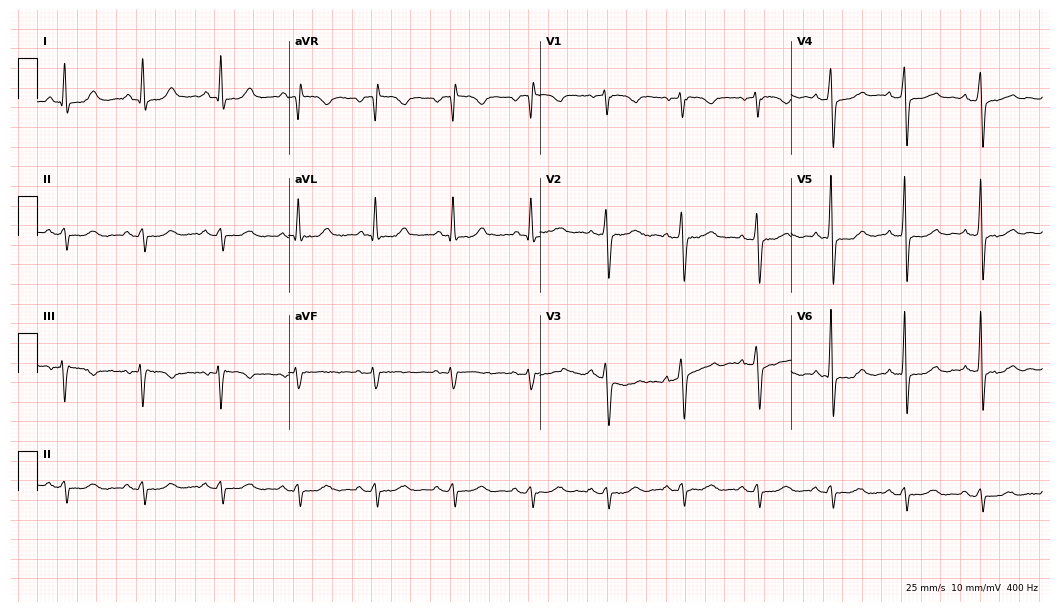
12-lead ECG from a 64-year-old woman. No first-degree AV block, right bundle branch block, left bundle branch block, sinus bradycardia, atrial fibrillation or sinus tachycardia recorded for this tracing. Other findings, if any, are not listed.